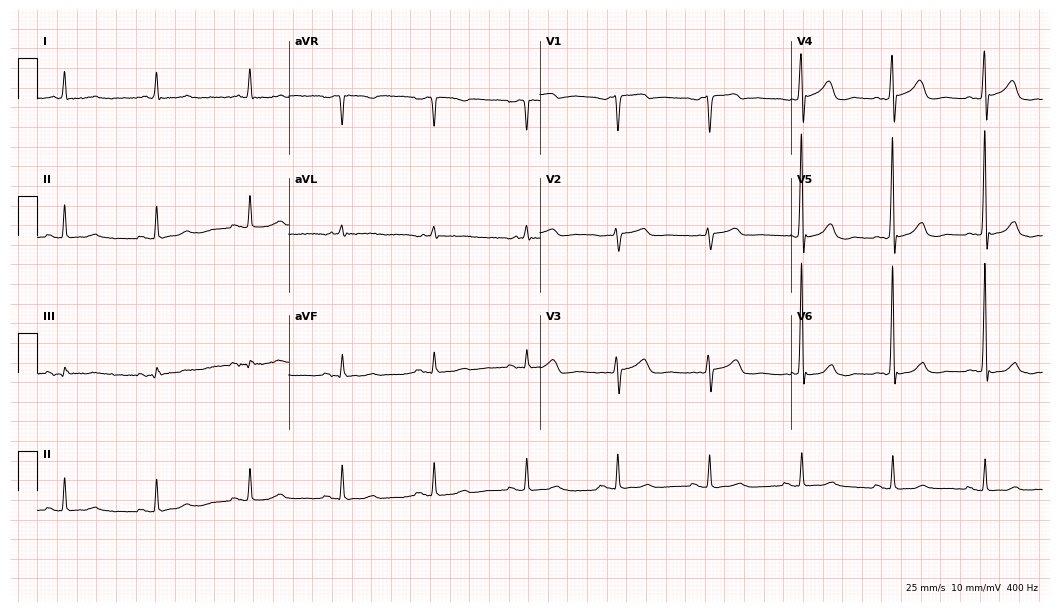
Resting 12-lead electrocardiogram (10.2-second recording at 400 Hz). Patient: a 78-year-old male. Read as a normal ECG.